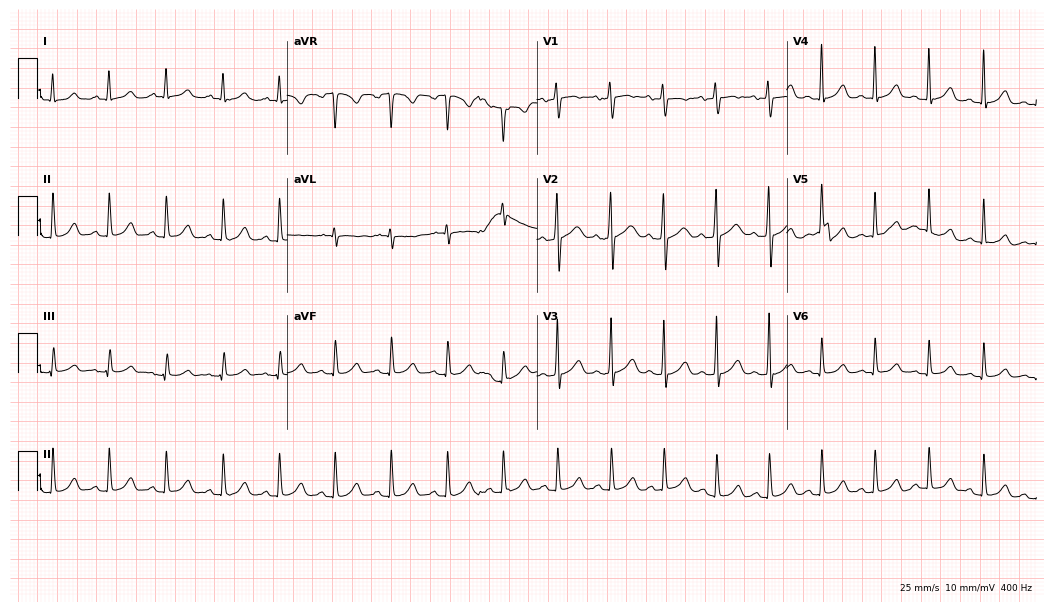
12-lead ECG from a woman, 19 years old (10.2-second recording at 400 Hz). No first-degree AV block, right bundle branch block (RBBB), left bundle branch block (LBBB), sinus bradycardia, atrial fibrillation (AF) or sinus tachycardia recorded for this tracing. Findings outside these six are not listed.